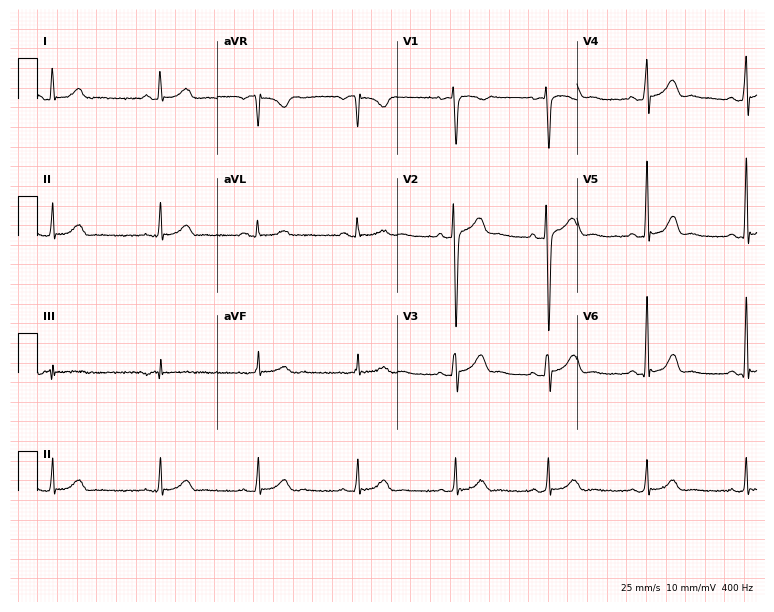
Standard 12-lead ECG recorded from a 29-year-old male. Read as a normal ECG.